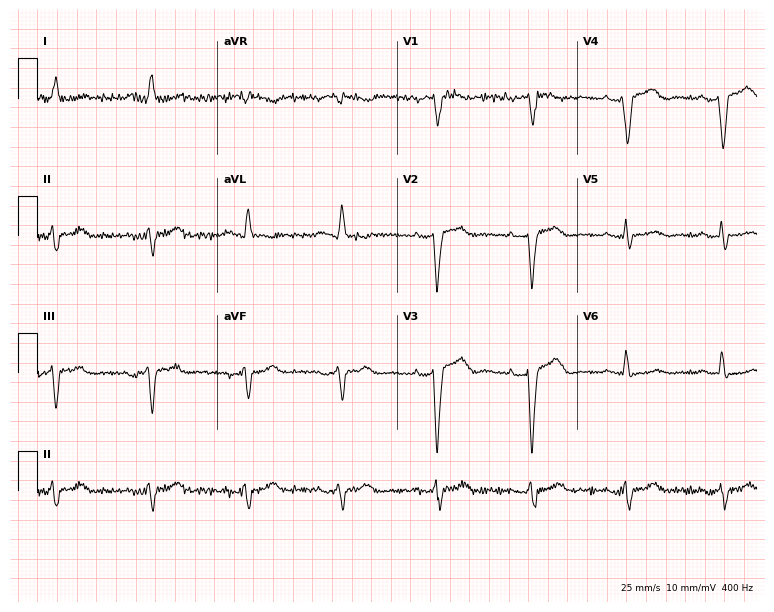
12-lead ECG (7.3-second recording at 400 Hz) from a female, 77 years old. Screened for six findings — first-degree AV block, right bundle branch block, left bundle branch block, sinus bradycardia, atrial fibrillation, sinus tachycardia — none is recorded. Other findings, if any, are not listed.